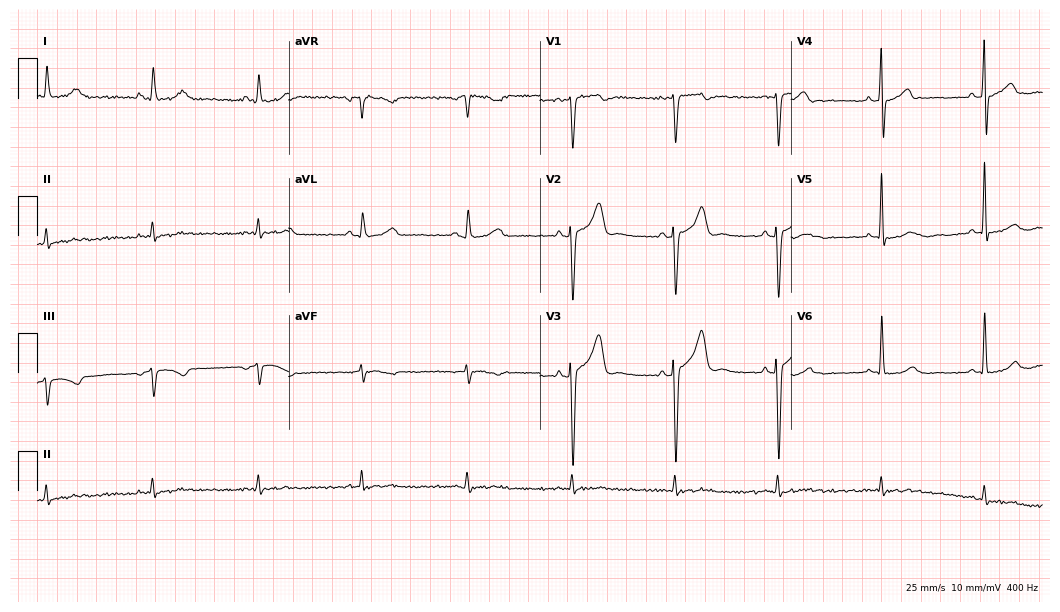
ECG (10.2-second recording at 400 Hz) — a male patient, 53 years old. Labelled as a normal ECG.